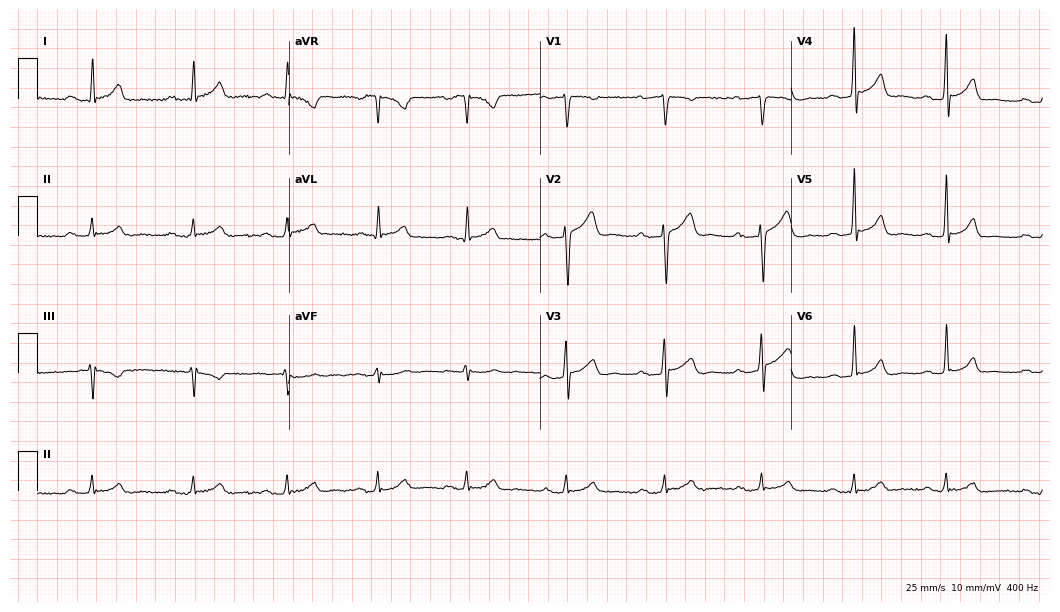
Resting 12-lead electrocardiogram (10.2-second recording at 400 Hz). Patient: a male, 39 years old. The tracing shows first-degree AV block.